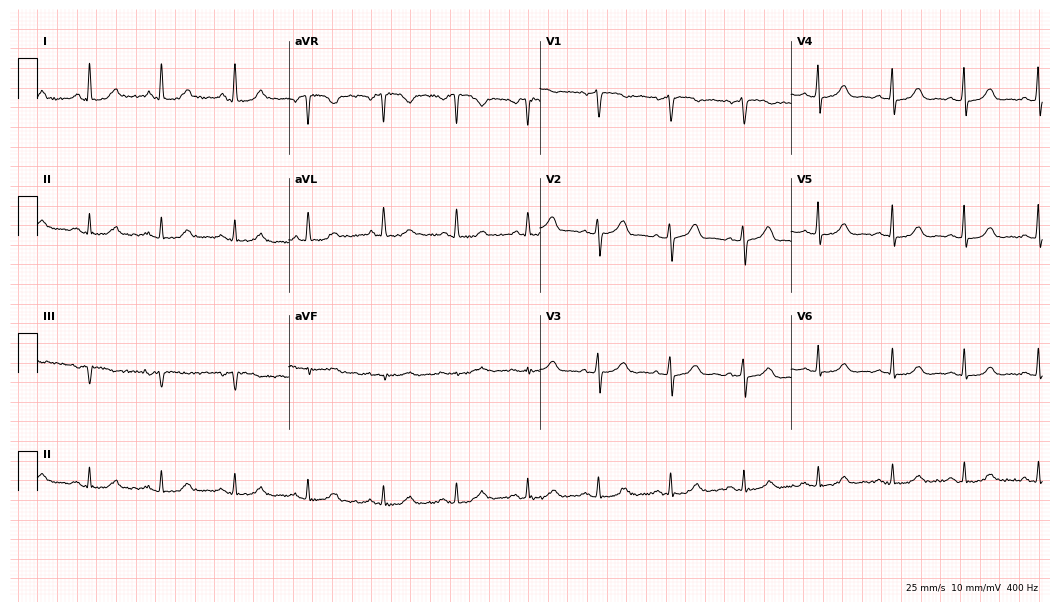
12-lead ECG from a 57-year-old woman. Recorded interpretation: within normal limits.